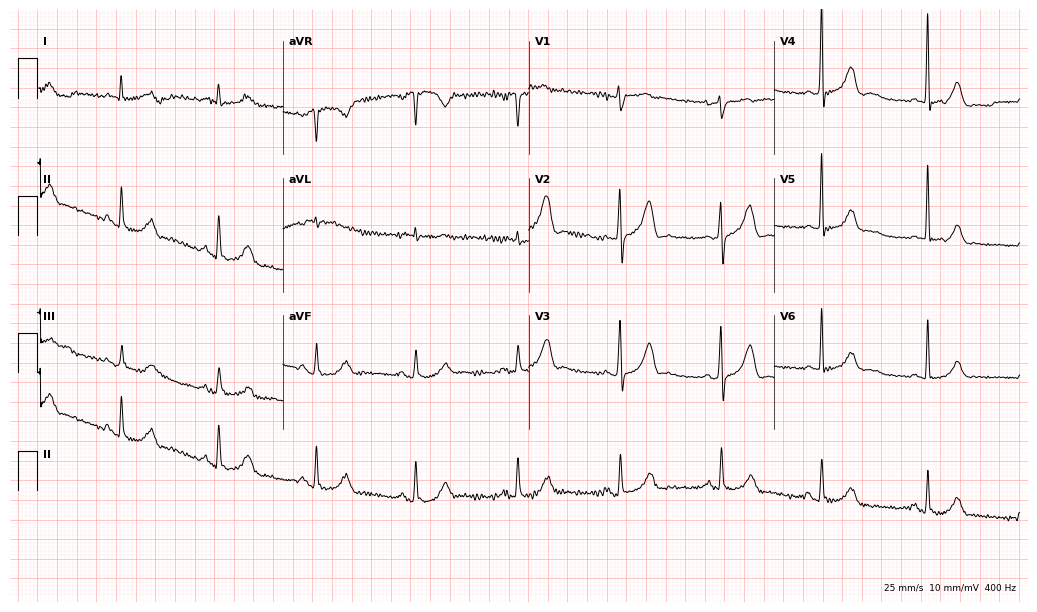
12-lead ECG from a man, 68 years old (10-second recording at 400 Hz). Recorded interpretation: within normal limits.